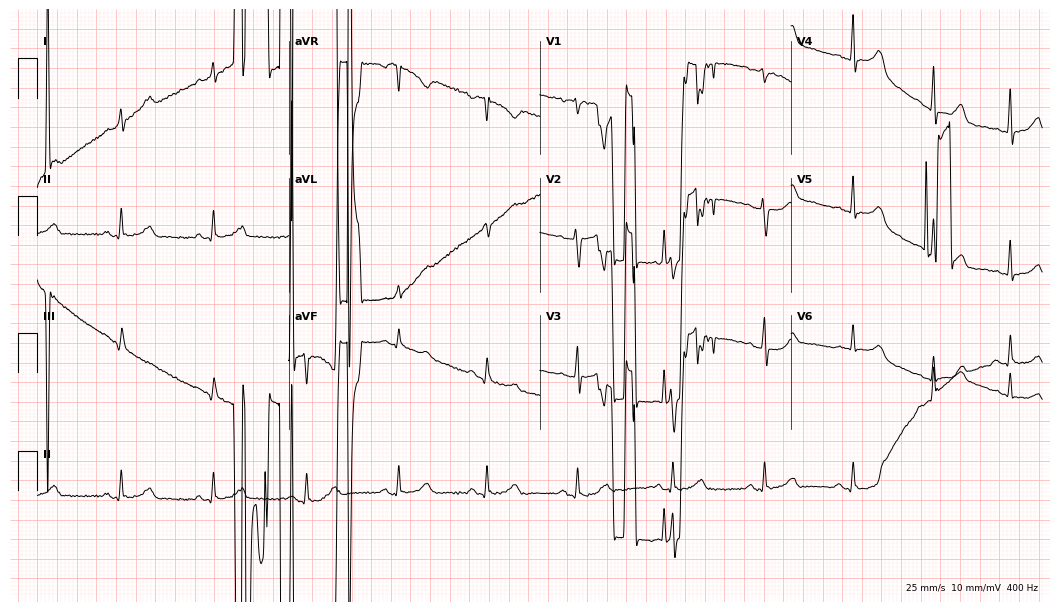
Resting 12-lead electrocardiogram (10.2-second recording at 400 Hz). Patient: a 41-year-old female. None of these six findings is recorded: first-degree AV block, right bundle branch block, left bundle branch block, sinus bradycardia, atrial fibrillation, sinus tachycardia.